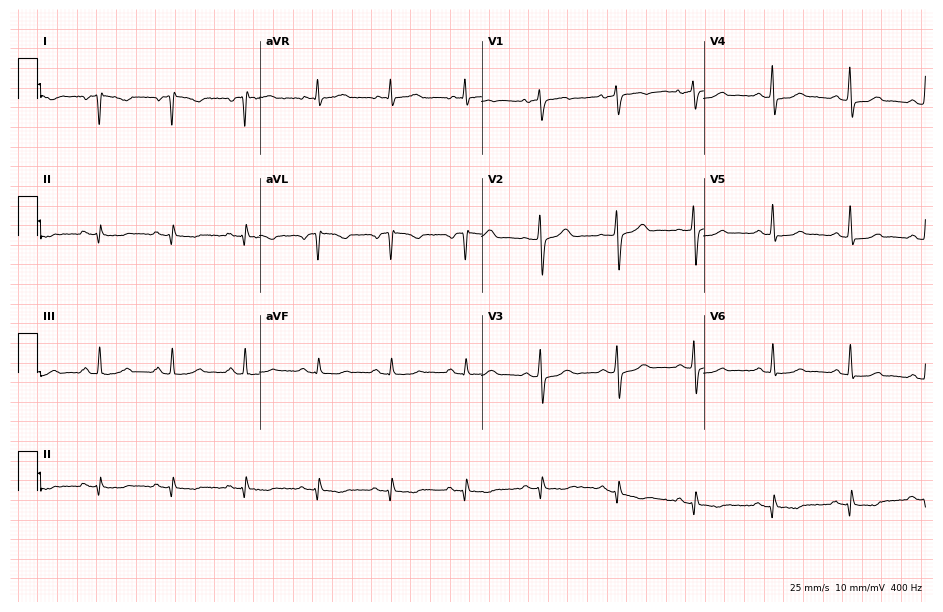
Standard 12-lead ECG recorded from a woman, 46 years old (9.1-second recording at 400 Hz). None of these six findings is recorded: first-degree AV block, right bundle branch block (RBBB), left bundle branch block (LBBB), sinus bradycardia, atrial fibrillation (AF), sinus tachycardia. Findings outside these six are not listed.